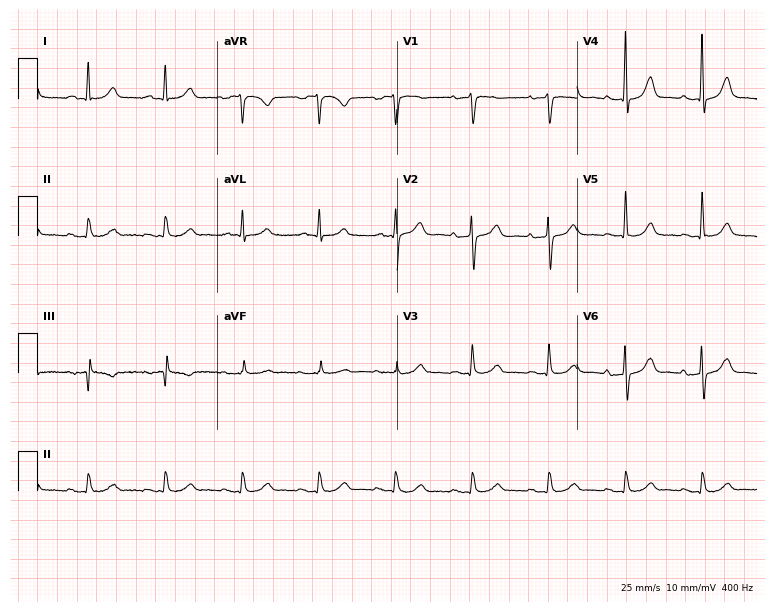
ECG (7.3-second recording at 400 Hz) — a male patient, 80 years old. Labelled as a normal ECG.